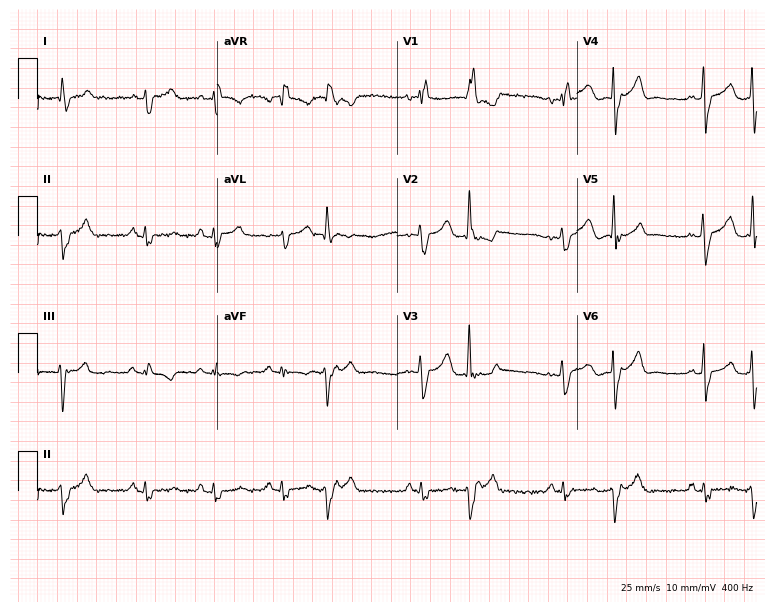
Electrocardiogram (7.3-second recording at 400 Hz), a woman, 45 years old. Of the six screened findings (first-degree AV block, right bundle branch block, left bundle branch block, sinus bradycardia, atrial fibrillation, sinus tachycardia), none is recorded. Findings outside these six are not listed.